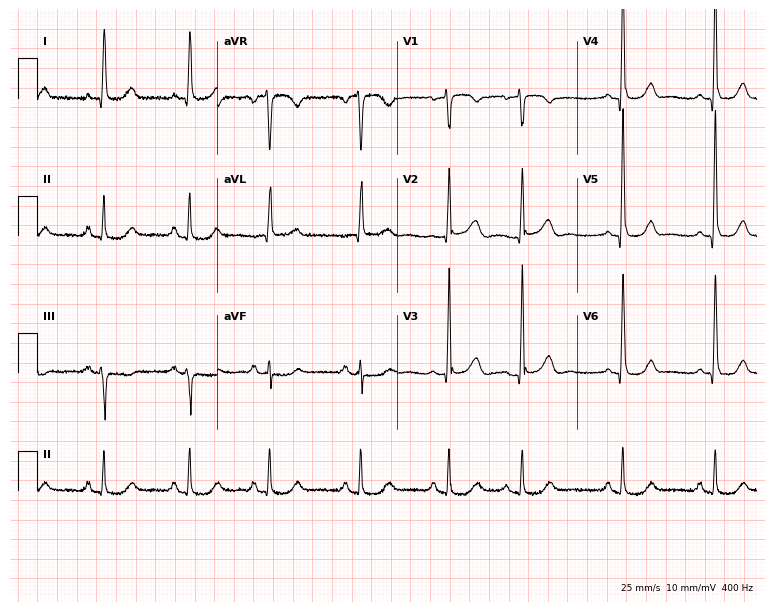
12-lead ECG from a woman, 73 years old. Screened for six findings — first-degree AV block, right bundle branch block, left bundle branch block, sinus bradycardia, atrial fibrillation, sinus tachycardia — none is recorded.